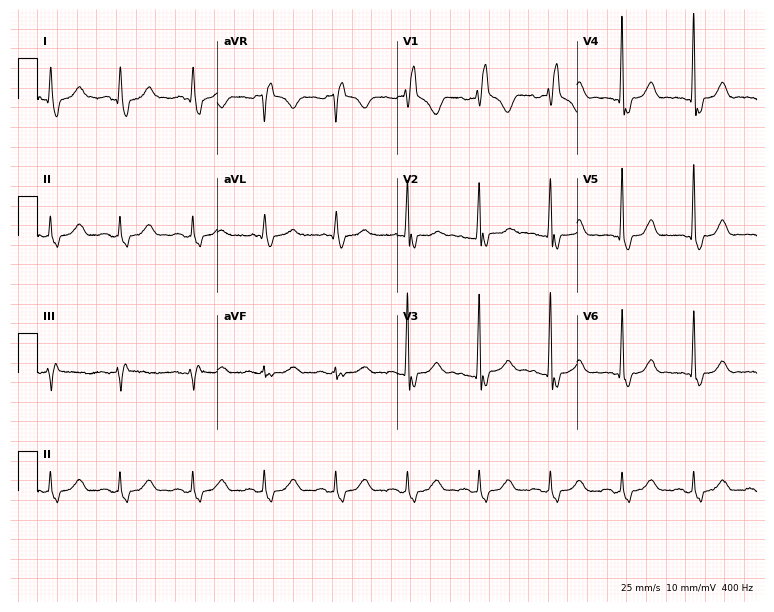
12-lead ECG from a female patient, 48 years old (7.3-second recording at 400 Hz). Shows right bundle branch block.